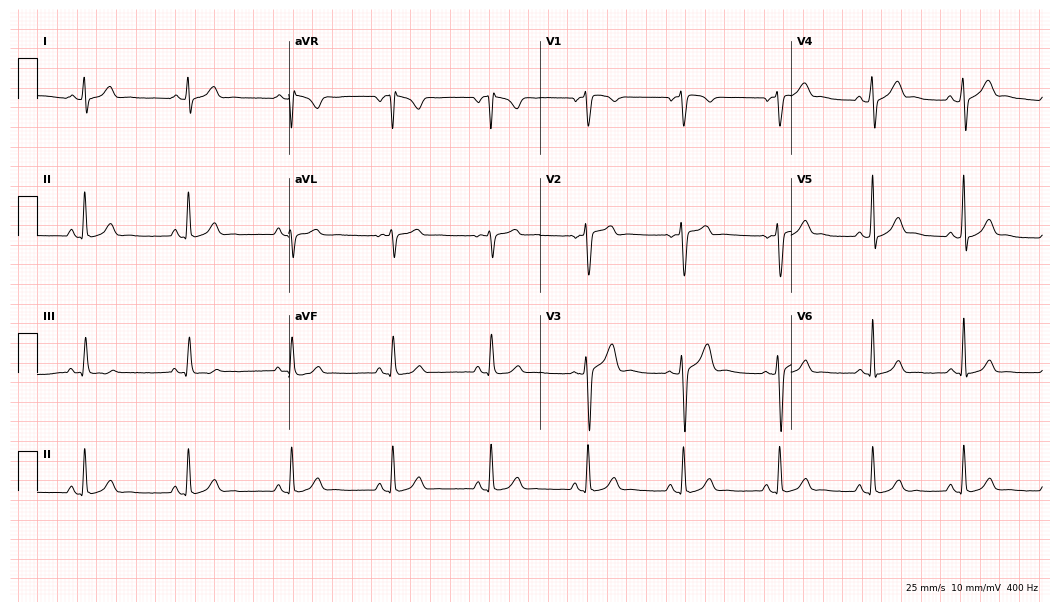
Electrocardiogram, a 35-year-old man. Overall reading on record: normal ECG.